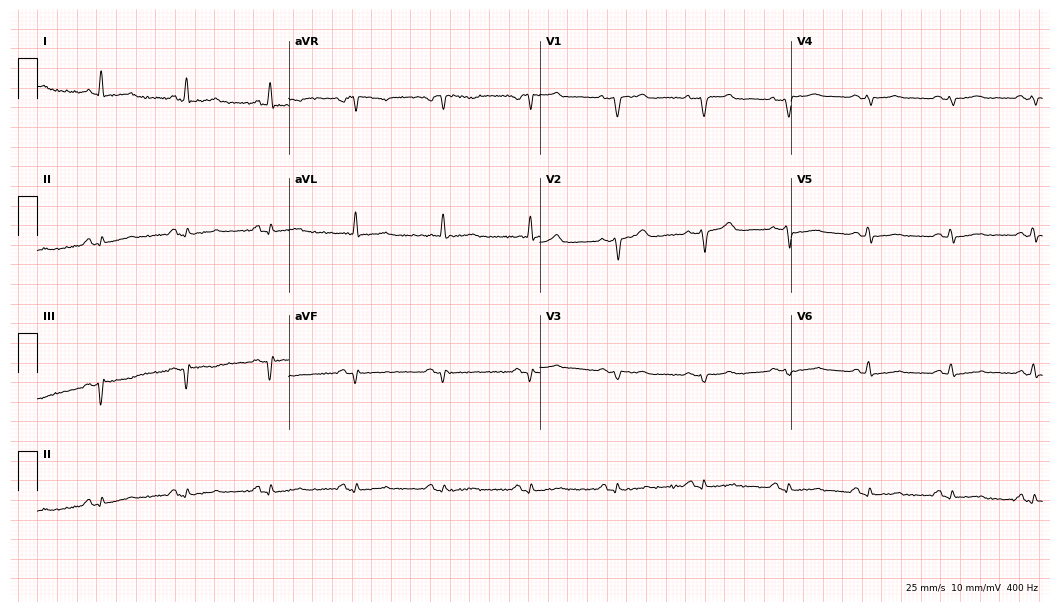
12-lead ECG (10.2-second recording at 400 Hz) from a 55-year-old woman. Labelled as a normal ECG.